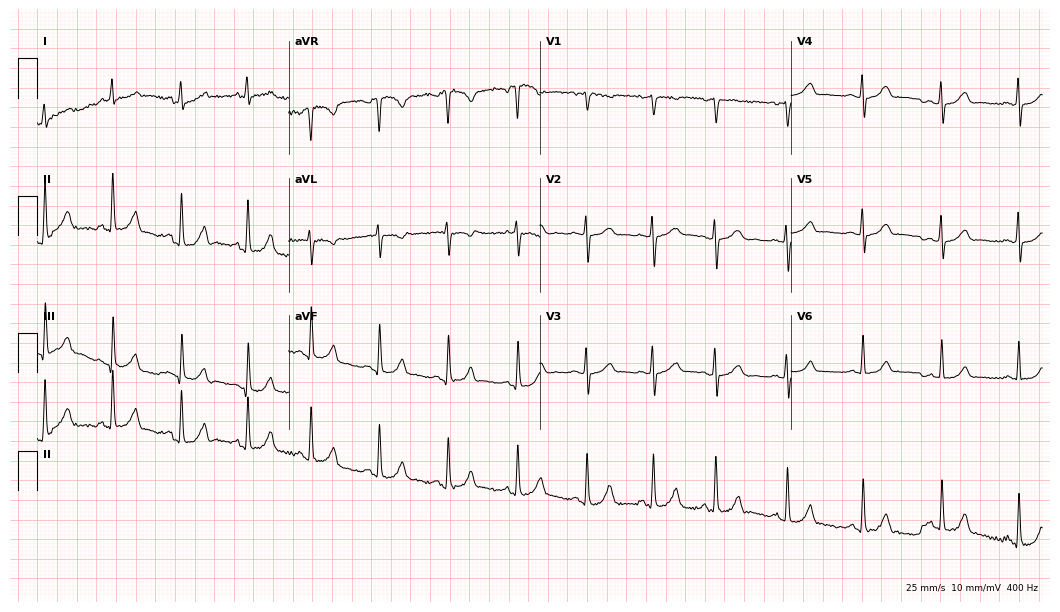
ECG (10.2-second recording at 400 Hz) — a 37-year-old female patient. Screened for six findings — first-degree AV block, right bundle branch block, left bundle branch block, sinus bradycardia, atrial fibrillation, sinus tachycardia — none is recorded. Findings outside these six are not listed.